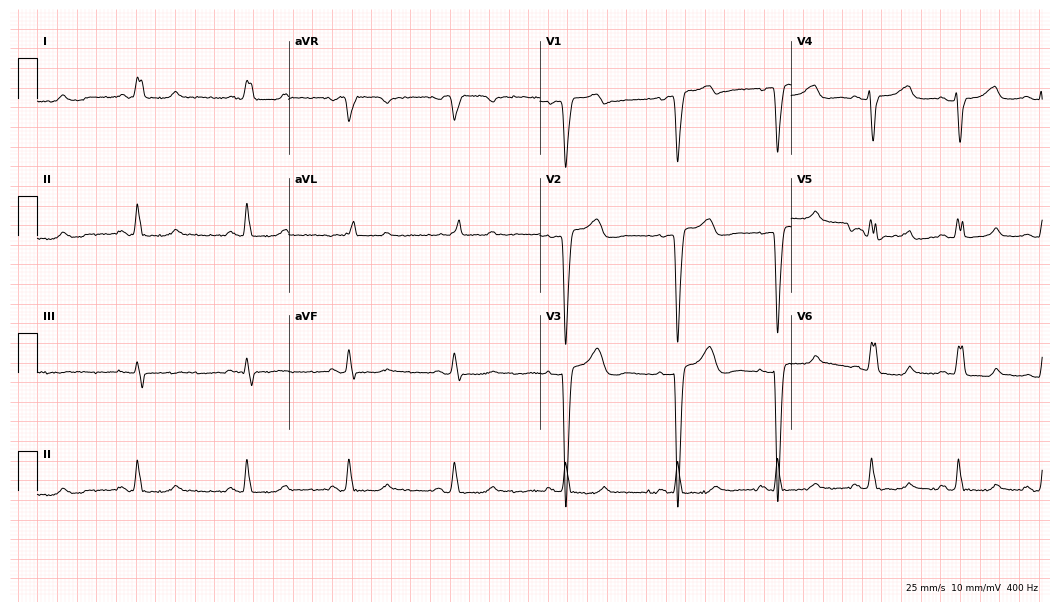
ECG — a 60-year-old female patient. Findings include left bundle branch block.